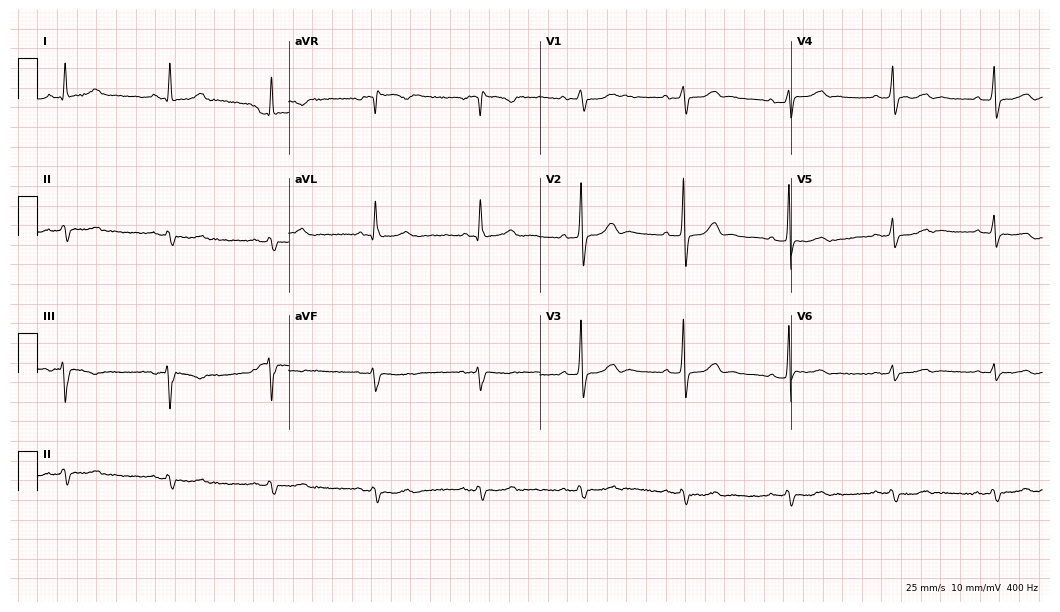
12-lead ECG from a male patient, 63 years old. No first-degree AV block, right bundle branch block, left bundle branch block, sinus bradycardia, atrial fibrillation or sinus tachycardia recorded for this tracing.